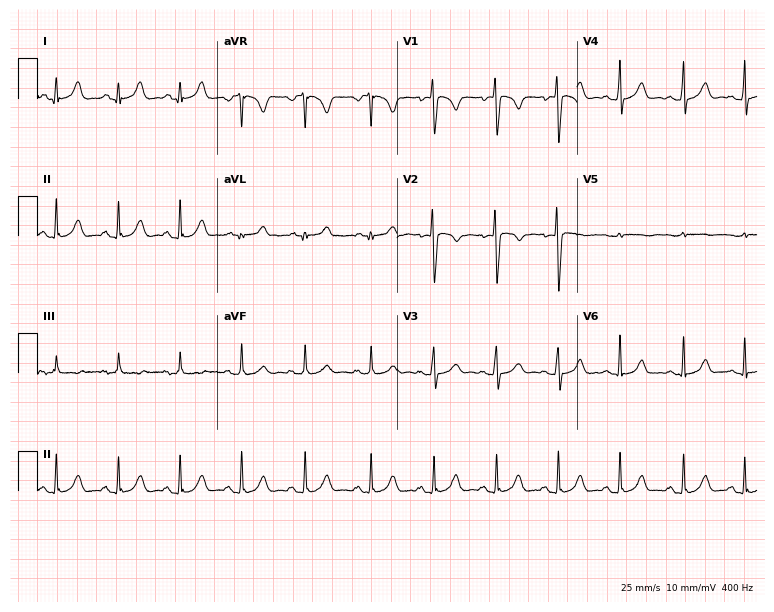
12-lead ECG from a 17-year-old female patient. Recorded interpretation: within normal limits.